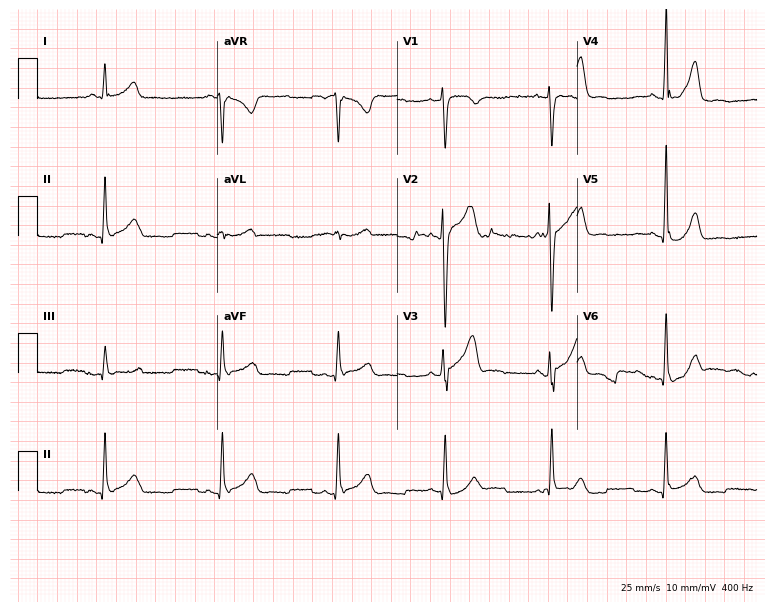
12-lead ECG from a 46-year-old man. Labelled as a normal ECG.